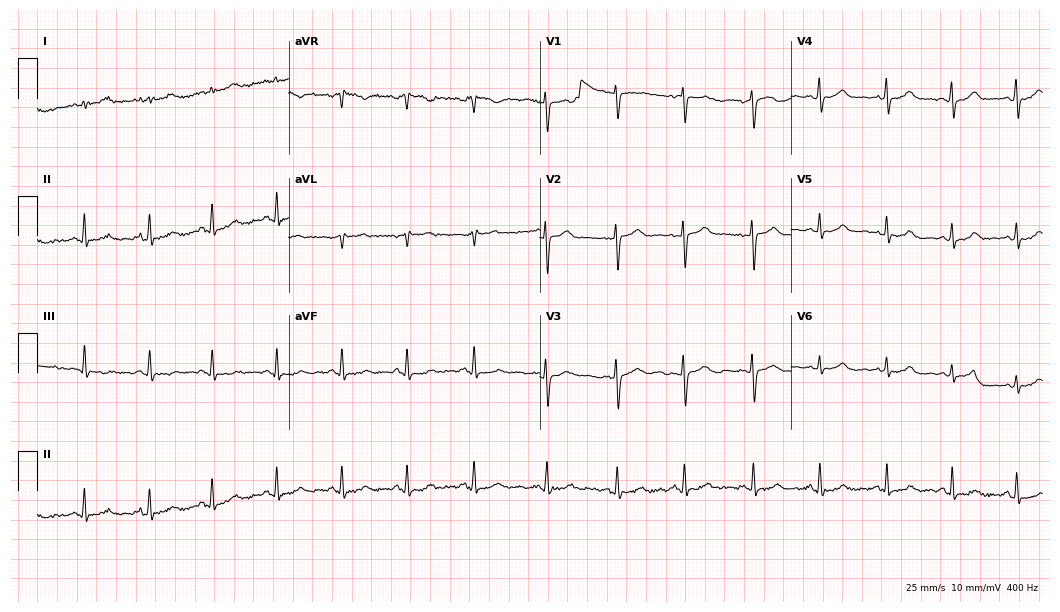
Resting 12-lead electrocardiogram. Patient: a 49-year-old female. Read as a normal ECG.